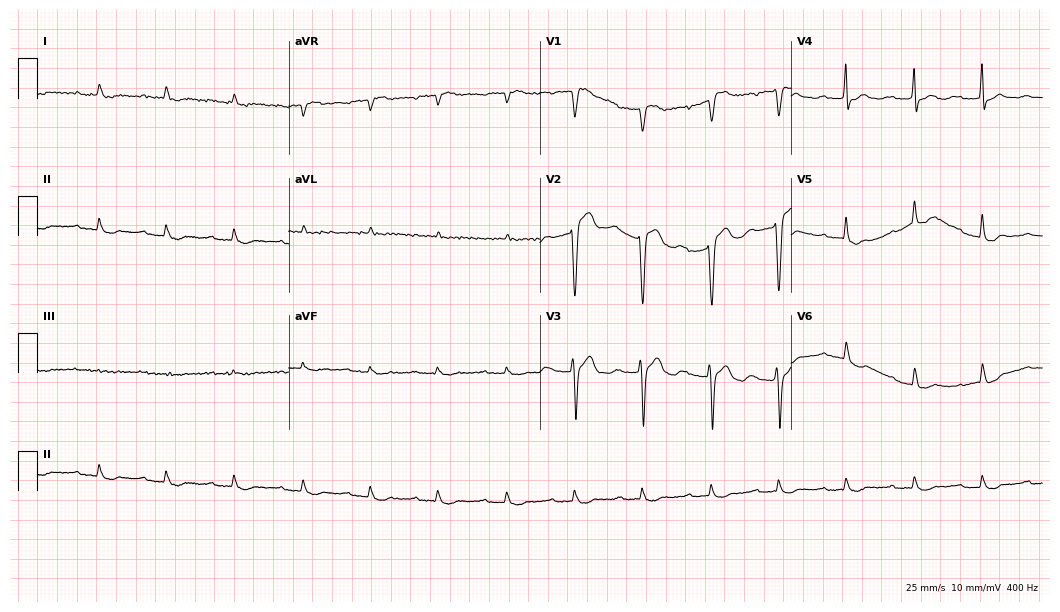
Standard 12-lead ECG recorded from a female patient, 83 years old. The tracing shows first-degree AV block.